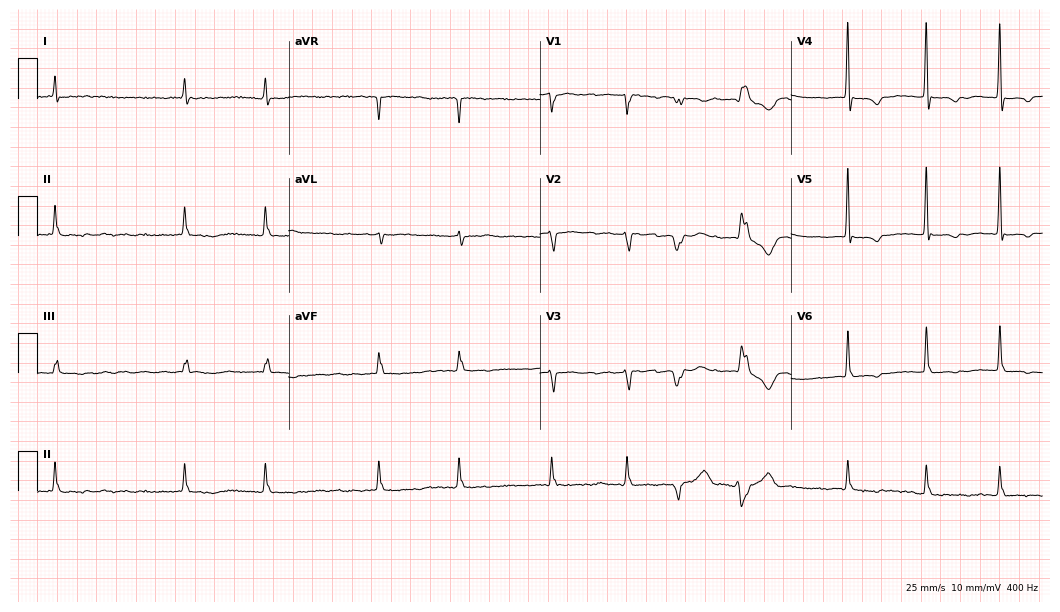
12-lead ECG from an 80-year-old female patient. Shows atrial fibrillation (AF).